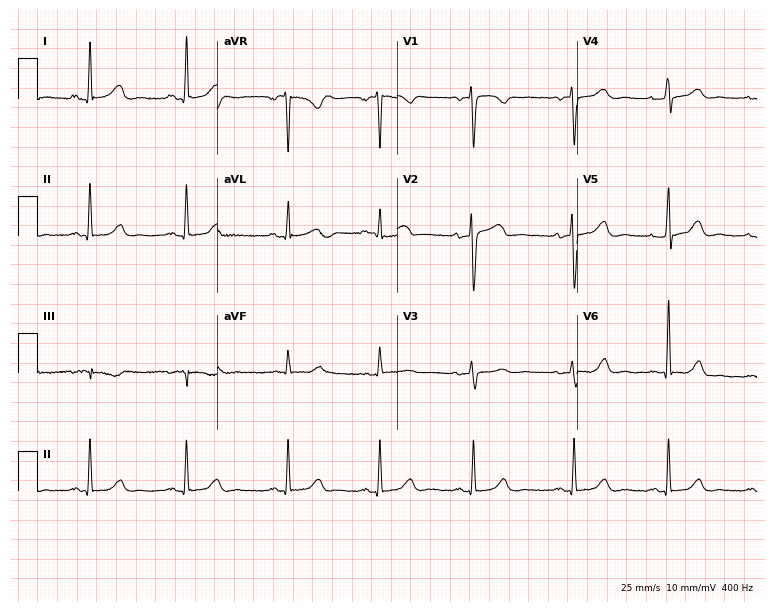
12-lead ECG (7.3-second recording at 400 Hz) from a female patient, 52 years old. Labelled as a normal ECG.